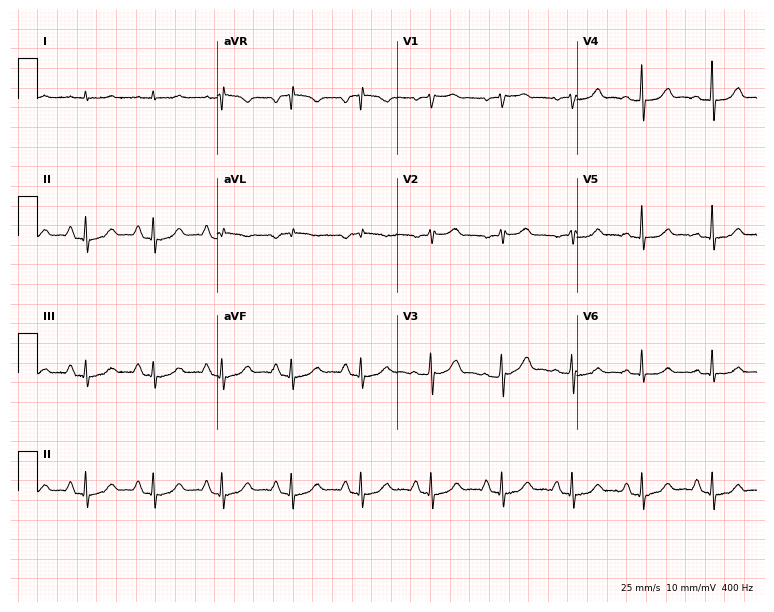
ECG (7.3-second recording at 400 Hz) — a man, 66 years old. Labelled as a normal ECG.